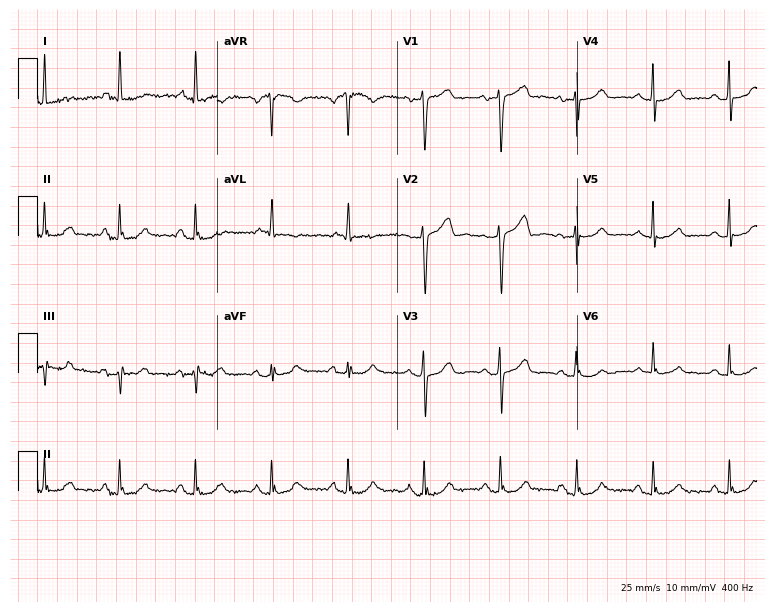
12-lead ECG from a 68-year-old female. Labelled as a normal ECG.